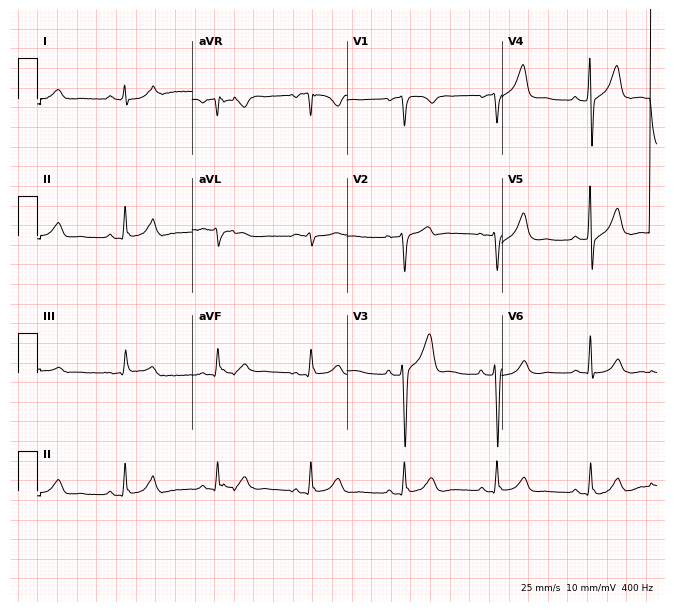
Electrocardiogram (6.3-second recording at 400 Hz), a male, 53 years old. Overall reading on record: normal ECG.